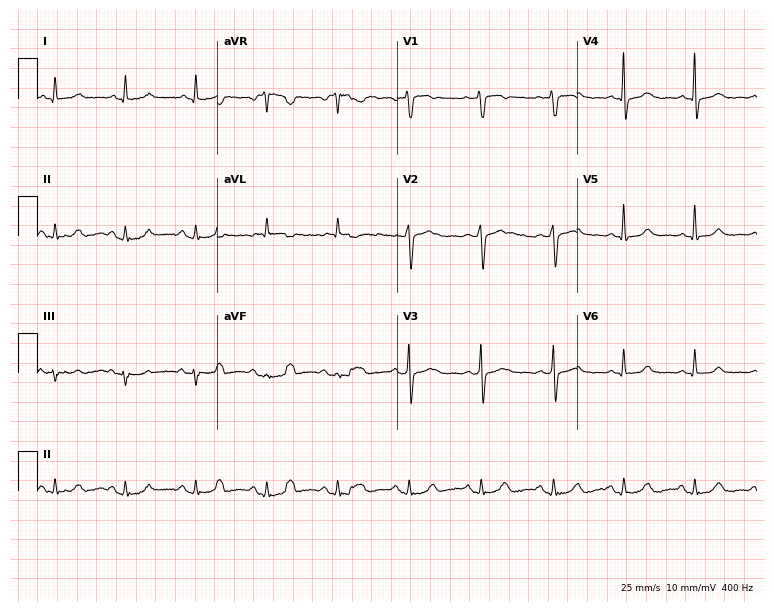
12-lead ECG from a 55-year-old female patient. Screened for six findings — first-degree AV block, right bundle branch block, left bundle branch block, sinus bradycardia, atrial fibrillation, sinus tachycardia — none is recorded.